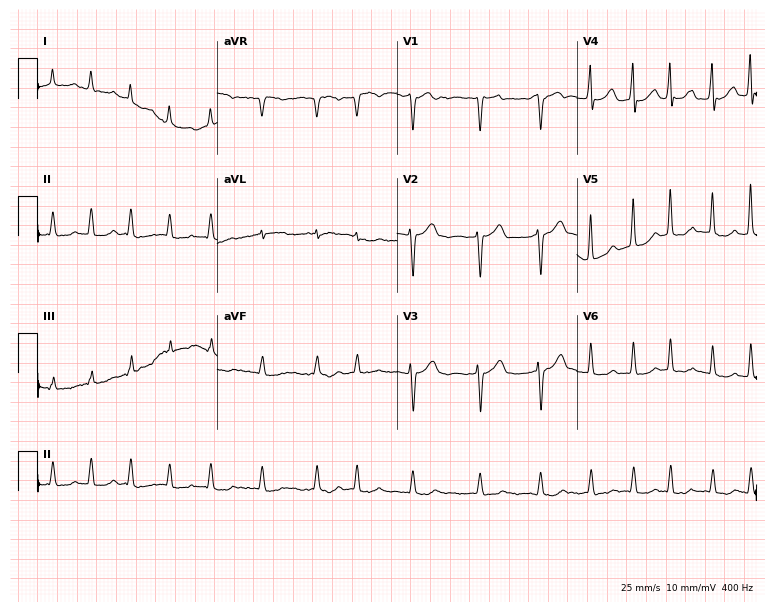
Resting 12-lead electrocardiogram (7.3-second recording at 400 Hz). Patient: a 76-year-old man. None of these six findings is recorded: first-degree AV block, right bundle branch block, left bundle branch block, sinus bradycardia, atrial fibrillation, sinus tachycardia.